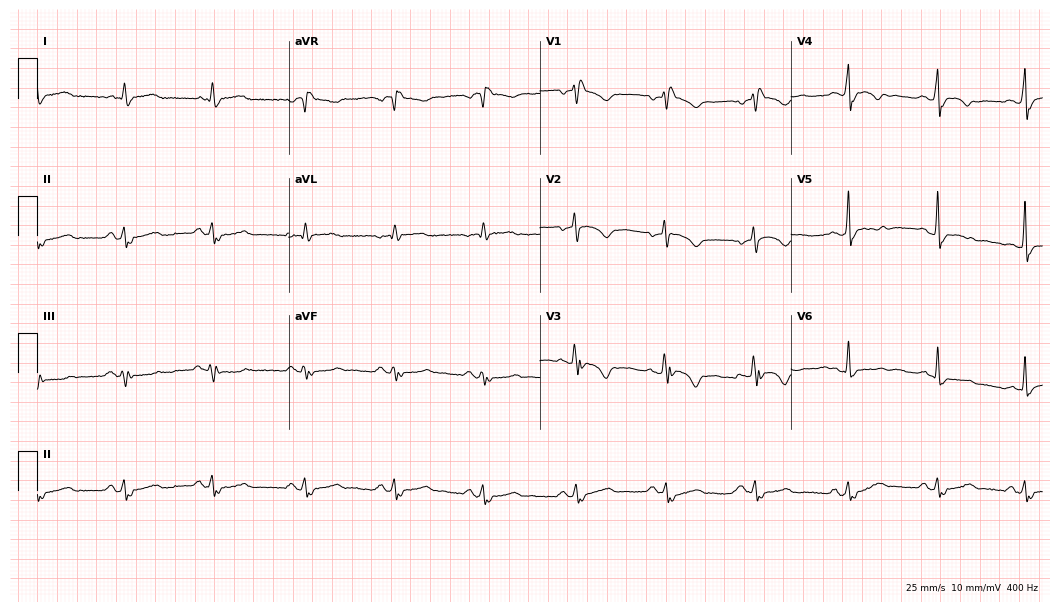
12-lead ECG from a 54-year-old male. Findings include right bundle branch block.